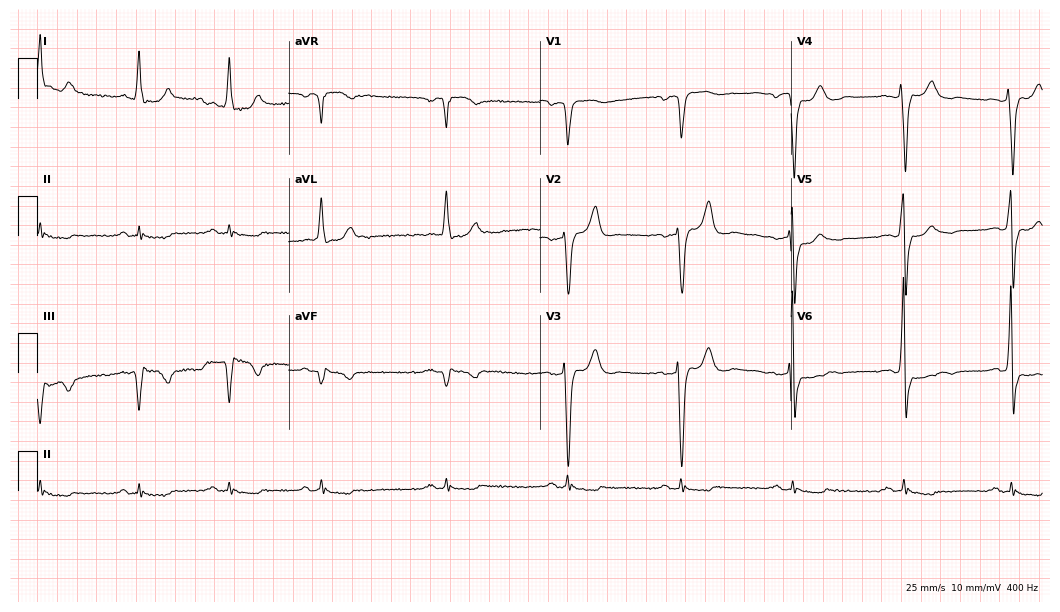
12-lead ECG from a male, 78 years old. Screened for six findings — first-degree AV block, right bundle branch block (RBBB), left bundle branch block (LBBB), sinus bradycardia, atrial fibrillation (AF), sinus tachycardia — none is recorded. Only these six findings were labelled.